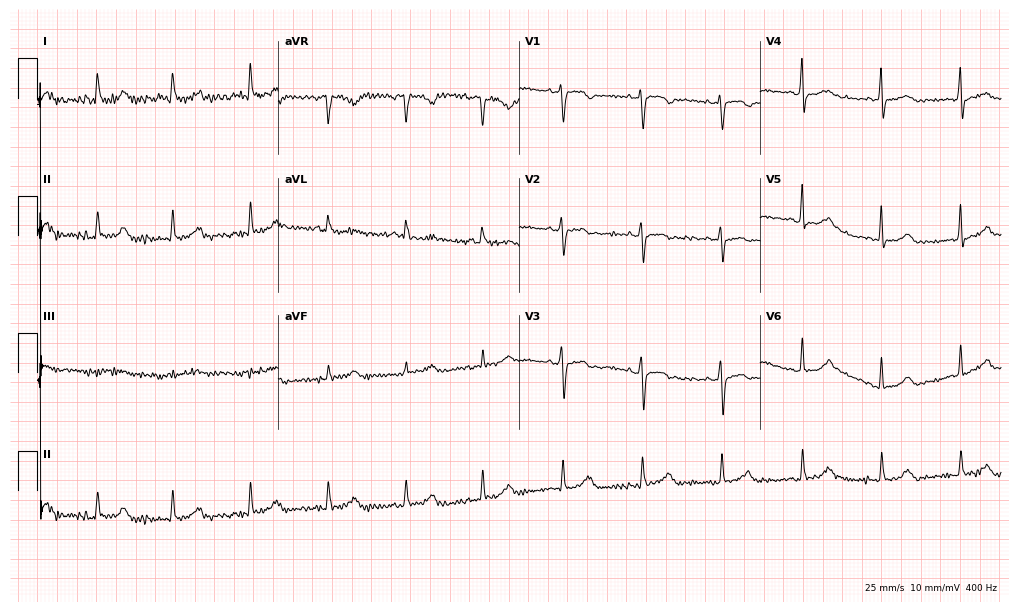
12-lead ECG from a woman, 84 years old (9.8-second recording at 400 Hz). No first-degree AV block, right bundle branch block, left bundle branch block, sinus bradycardia, atrial fibrillation or sinus tachycardia recorded for this tracing.